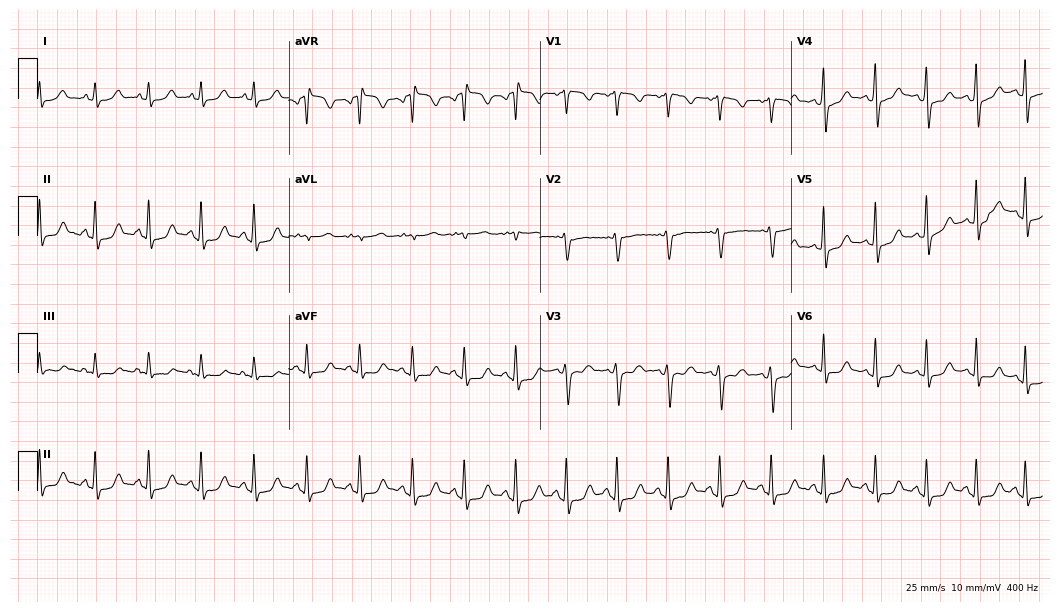
Resting 12-lead electrocardiogram. Patient: a female, 27 years old. The tracing shows sinus tachycardia (a sinus rate of 100 beats per minute or more).